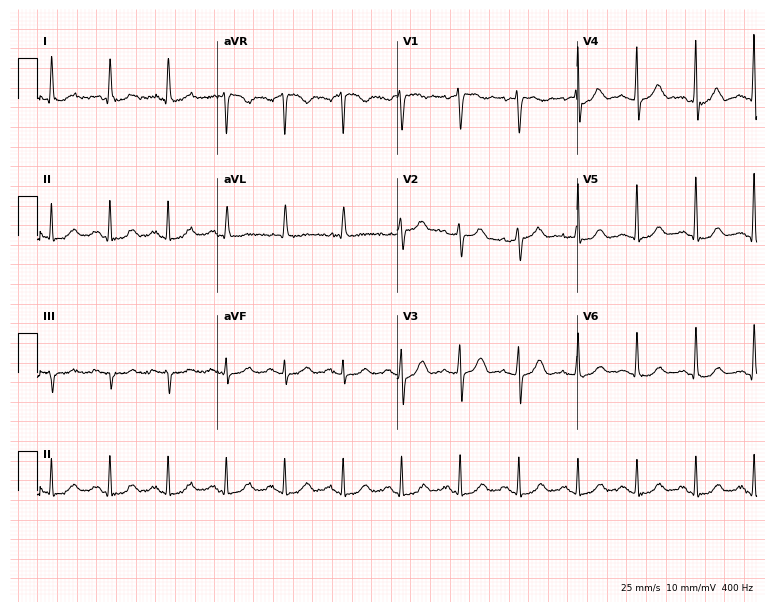
12-lead ECG from a female patient, 73 years old. Findings include sinus tachycardia (a sinus rate of 100 beats per minute or more).